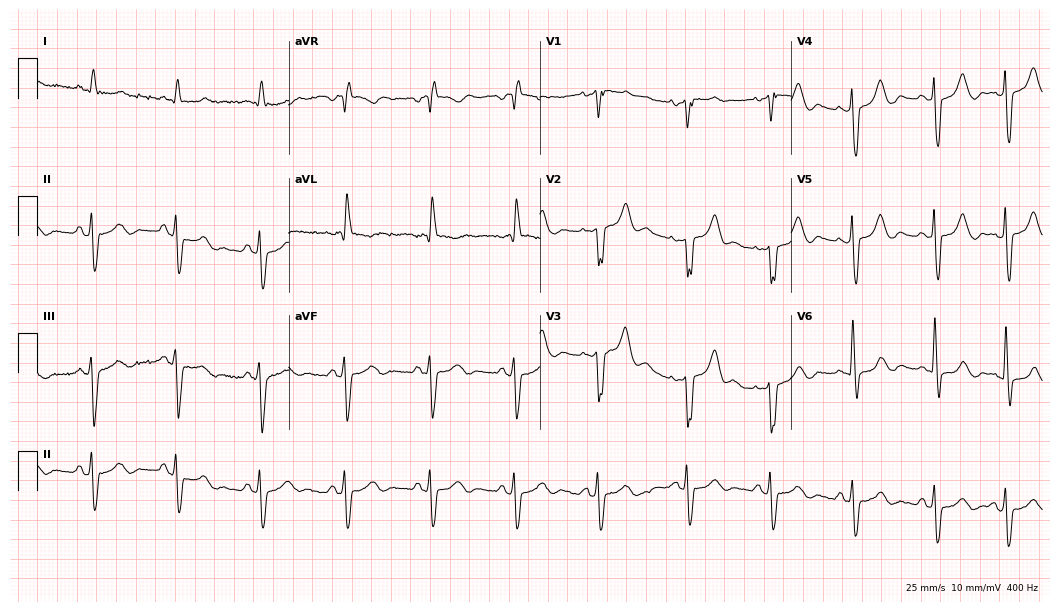
Resting 12-lead electrocardiogram. Patient: a male, 77 years old. None of these six findings is recorded: first-degree AV block, right bundle branch block, left bundle branch block, sinus bradycardia, atrial fibrillation, sinus tachycardia.